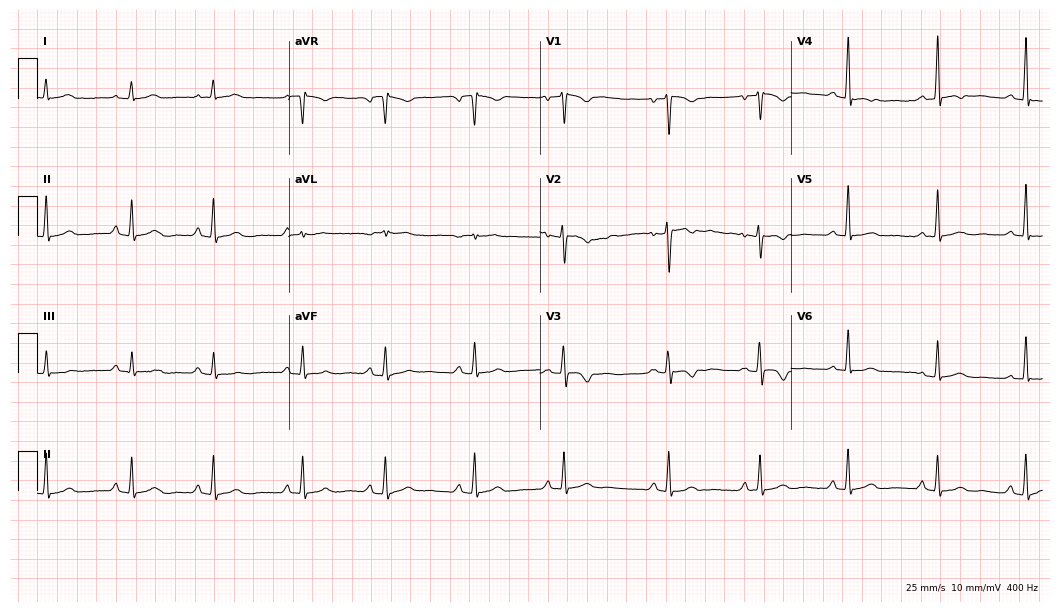
Standard 12-lead ECG recorded from a woman, 33 years old (10.2-second recording at 400 Hz). Read as a normal ECG.